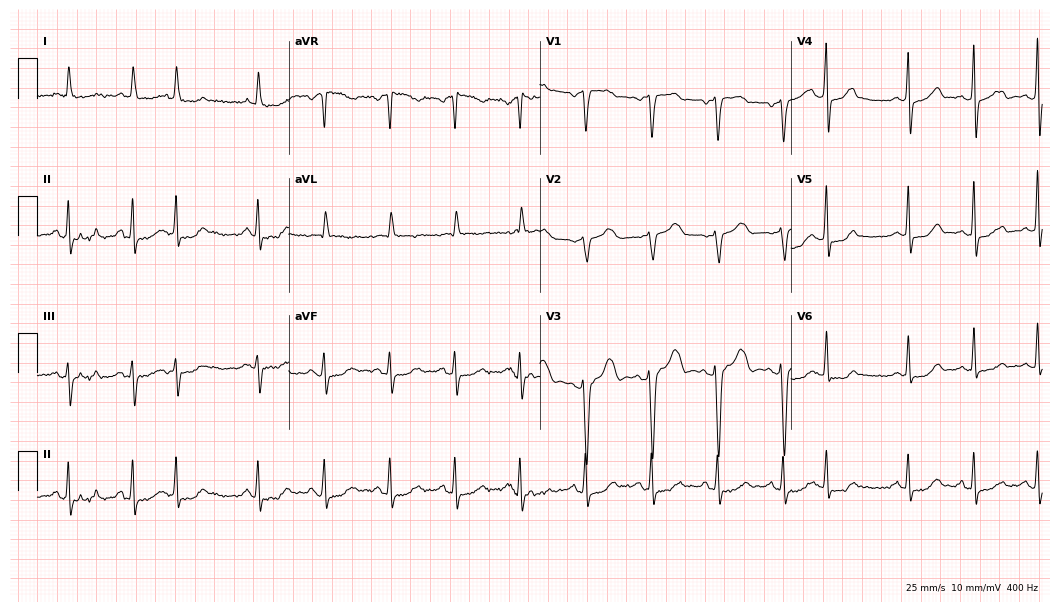
12-lead ECG (10.2-second recording at 400 Hz) from an 80-year-old woman. Screened for six findings — first-degree AV block, right bundle branch block, left bundle branch block, sinus bradycardia, atrial fibrillation, sinus tachycardia — none is recorded. Other findings, if any, are not listed.